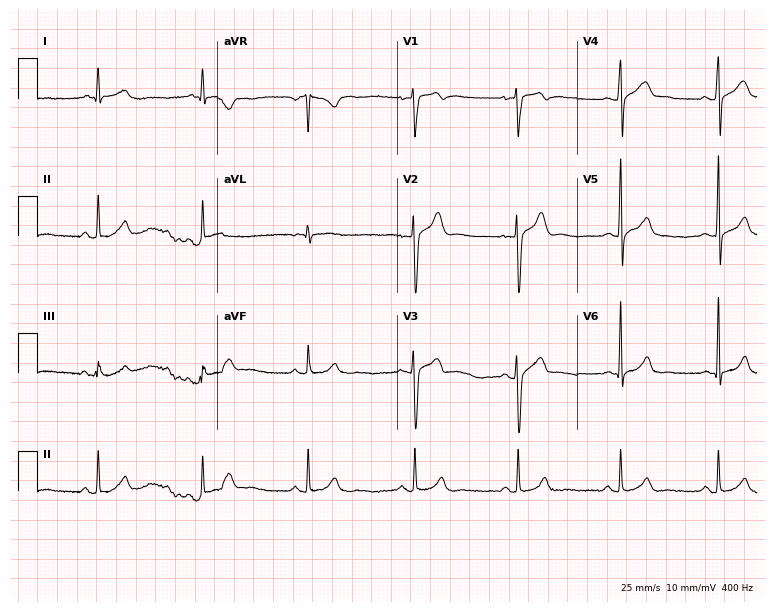
ECG — a 29-year-old male. Labelled as a normal ECG.